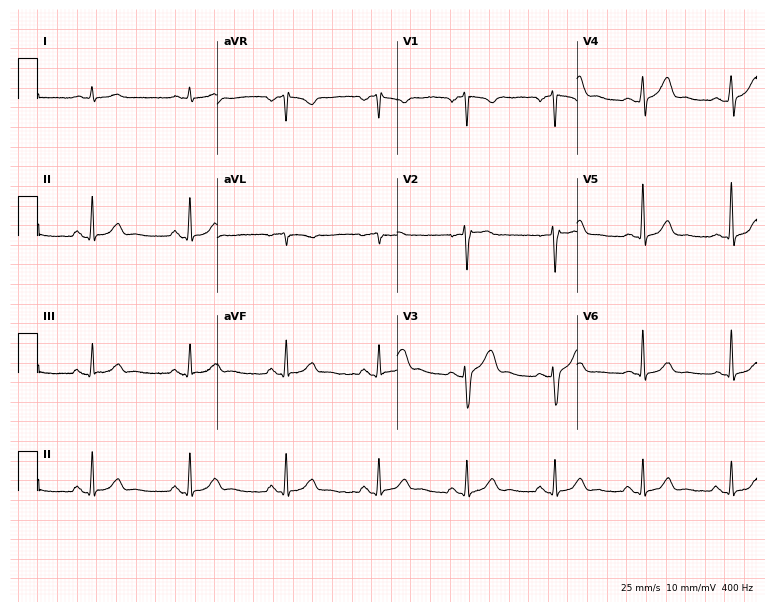
ECG (7.3-second recording at 400 Hz) — a 49-year-old man. Screened for six findings — first-degree AV block, right bundle branch block (RBBB), left bundle branch block (LBBB), sinus bradycardia, atrial fibrillation (AF), sinus tachycardia — none is recorded. Findings outside these six are not listed.